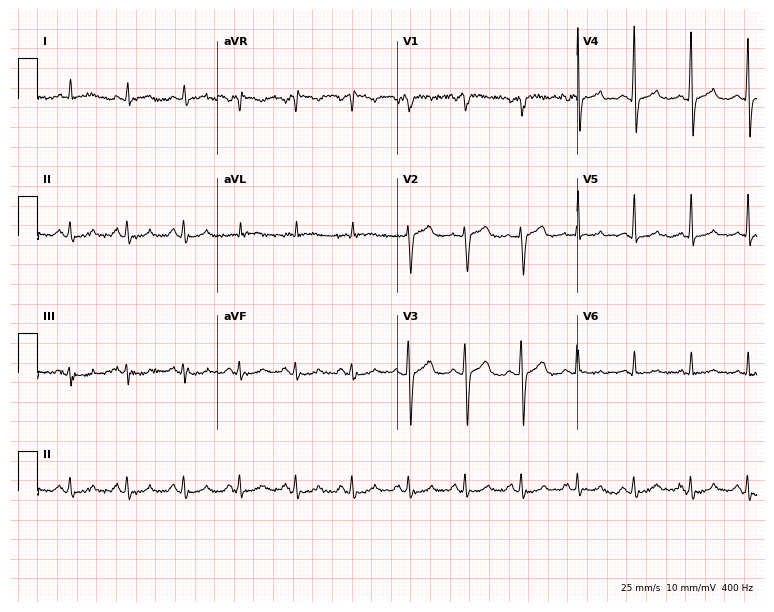
Electrocardiogram, a 76-year-old man. Interpretation includes sinus tachycardia (a sinus rate of 100 beats per minute or more).